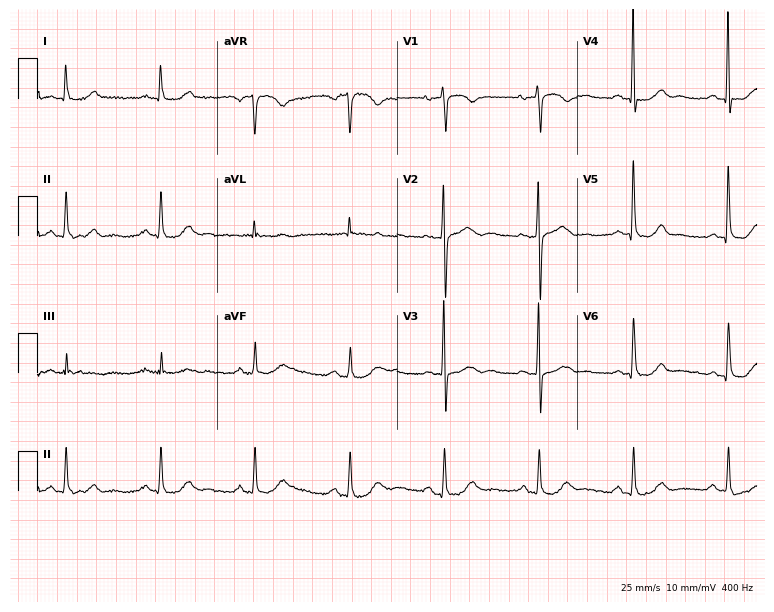
12-lead ECG (7.3-second recording at 400 Hz) from a male patient, 85 years old. Labelled as a normal ECG.